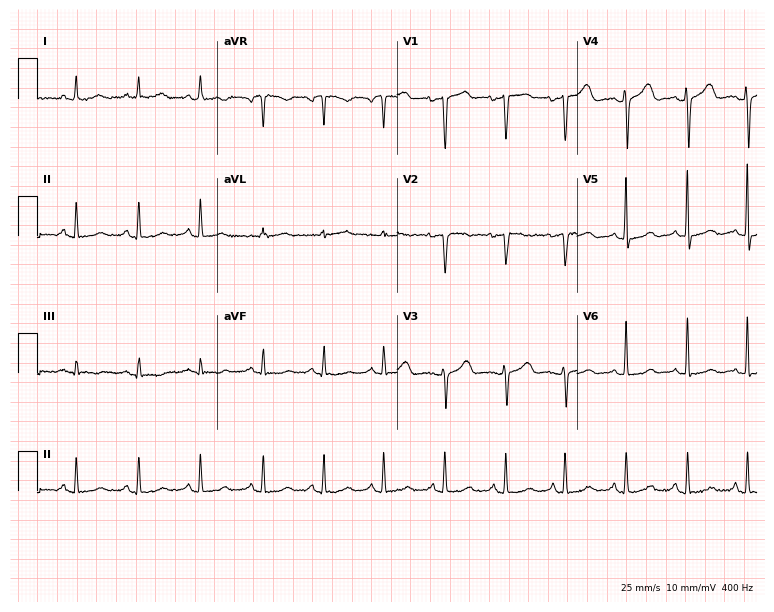
12-lead ECG from a 44-year-old woman. Screened for six findings — first-degree AV block, right bundle branch block (RBBB), left bundle branch block (LBBB), sinus bradycardia, atrial fibrillation (AF), sinus tachycardia — none is recorded. Other findings, if any, are not listed.